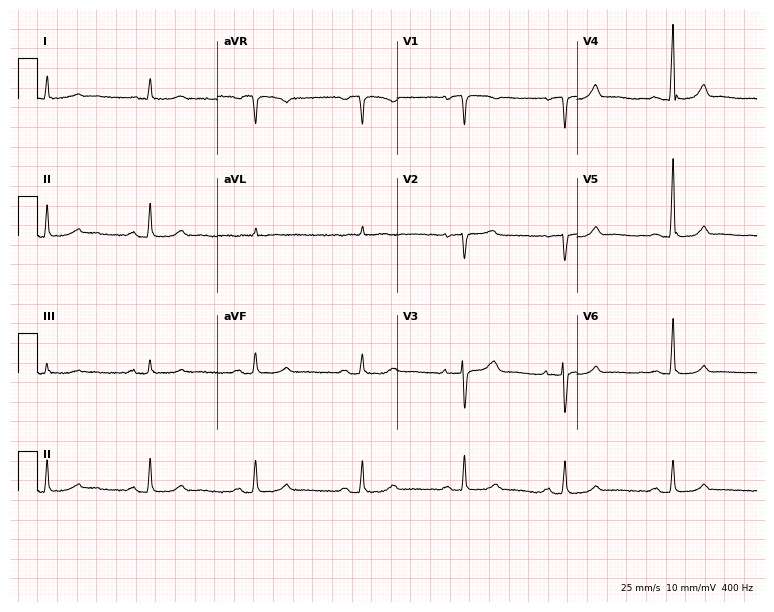
Electrocardiogram (7.3-second recording at 400 Hz), an 82-year-old female patient. Overall reading on record: normal ECG.